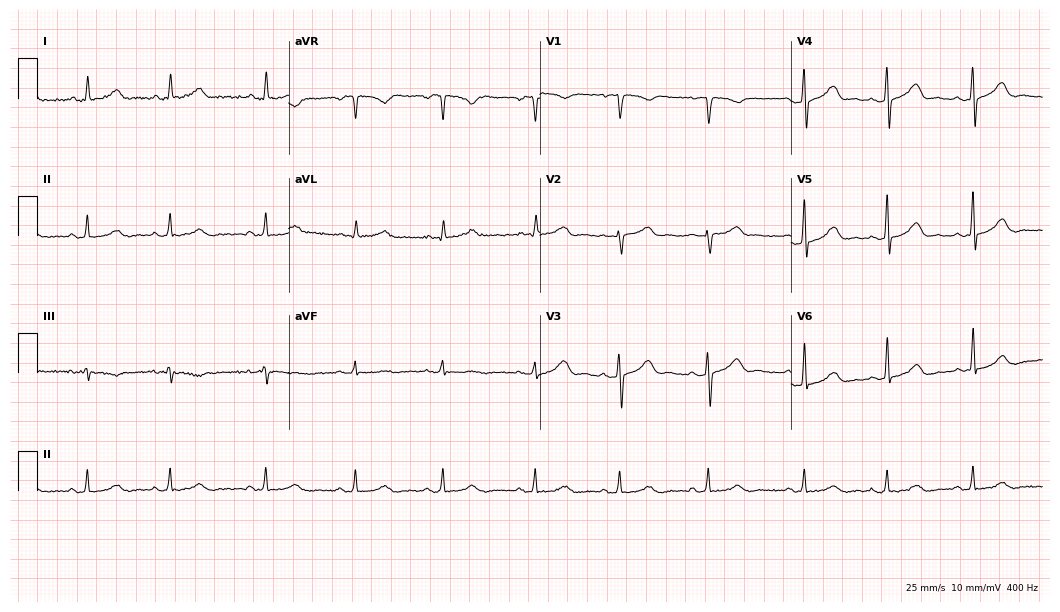
12-lead ECG from a woman, 35 years old (10.2-second recording at 400 Hz). Recorded interpretation: within normal limits.